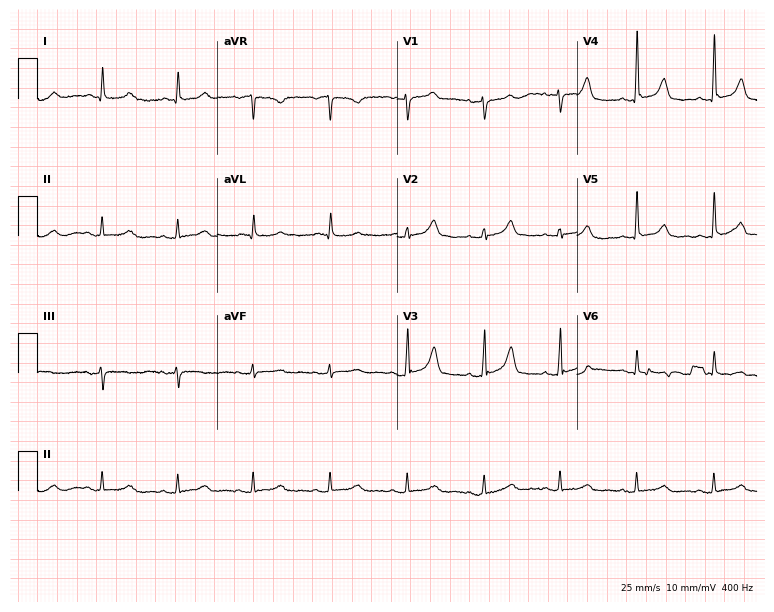
Standard 12-lead ECG recorded from a 75-year-old female. None of these six findings is recorded: first-degree AV block, right bundle branch block (RBBB), left bundle branch block (LBBB), sinus bradycardia, atrial fibrillation (AF), sinus tachycardia. Findings outside these six are not listed.